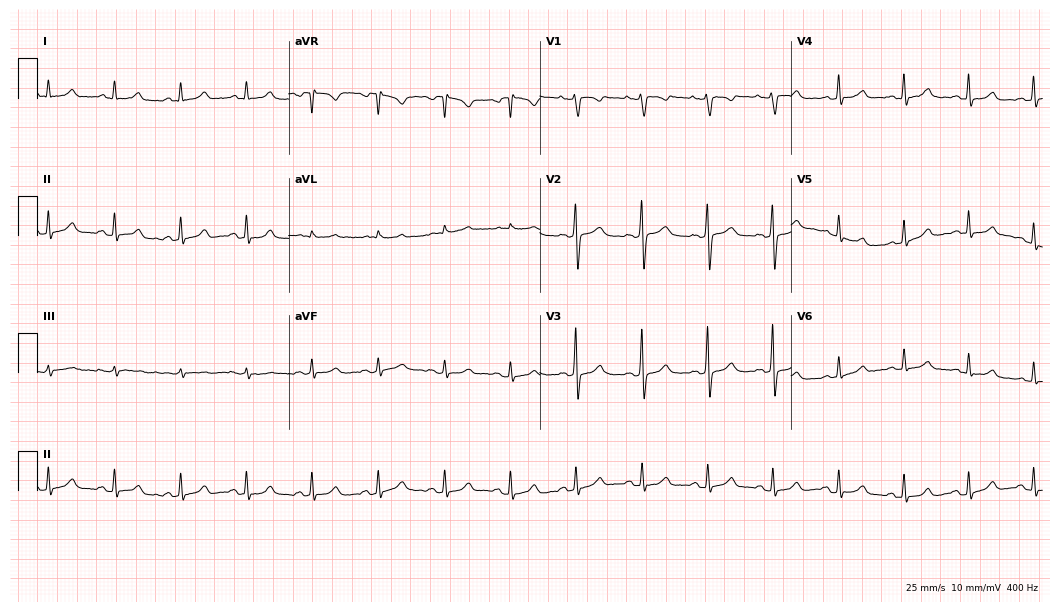
Electrocardiogram (10.2-second recording at 400 Hz), a 66-year-old female. Overall reading on record: normal ECG.